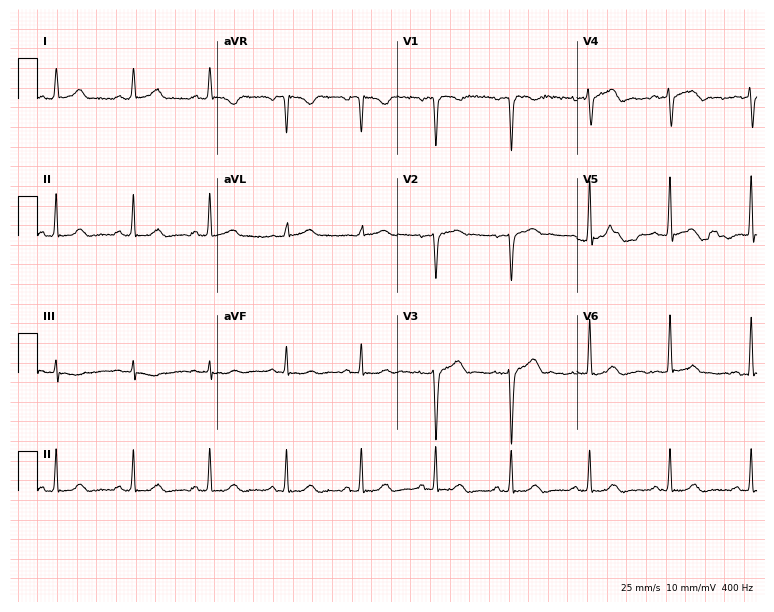
ECG — a male, 55 years old. Labelled as a normal ECG.